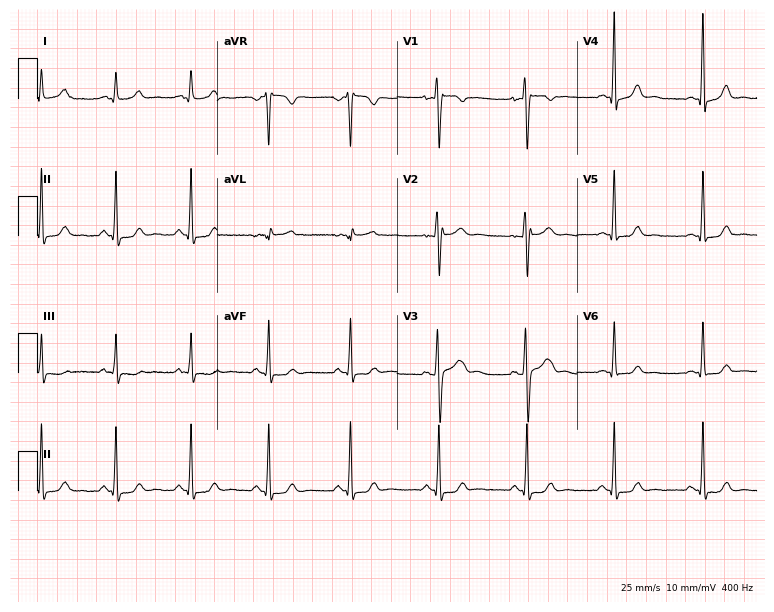
12-lead ECG from a 24-year-old woman. Screened for six findings — first-degree AV block, right bundle branch block, left bundle branch block, sinus bradycardia, atrial fibrillation, sinus tachycardia — none is recorded. Other findings, if any, are not listed.